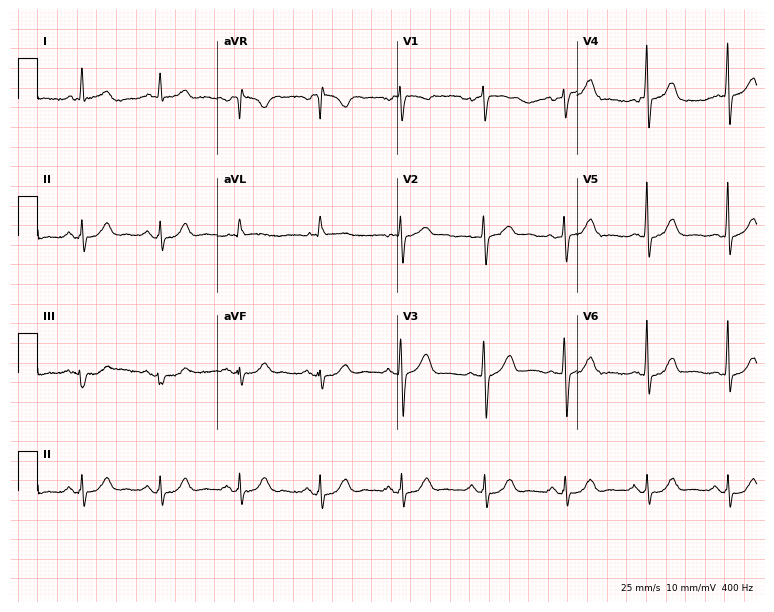
12-lead ECG (7.3-second recording at 400 Hz) from a male patient, 74 years old. Screened for six findings — first-degree AV block, right bundle branch block, left bundle branch block, sinus bradycardia, atrial fibrillation, sinus tachycardia — none is recorded.